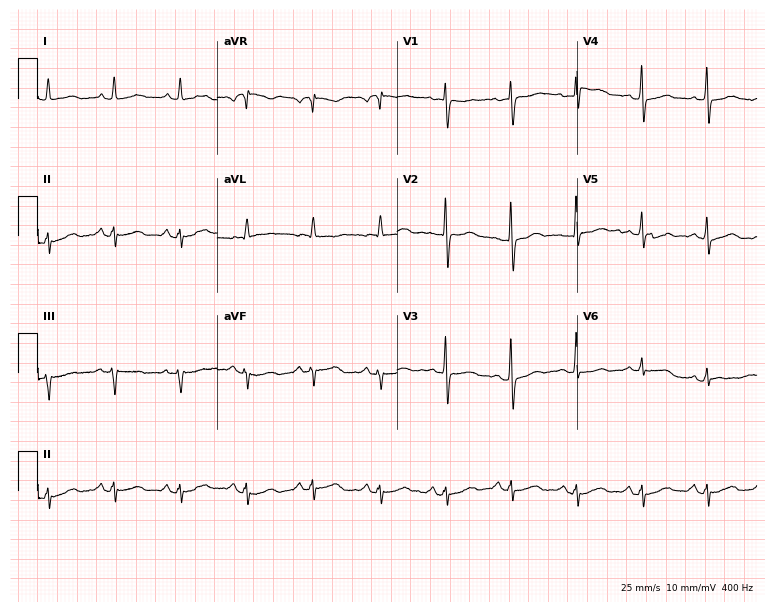
Electrocardiogram (7.3-second recording at 400 Hz), a female, 58 years old. Of the six screened findings (first-degree AV block, right bundle branch block (RBBB), left bundle branch block (LBBB), sinus bradycardia, atrial fibrillation (AF), sinus tachycardia), none is recorded.